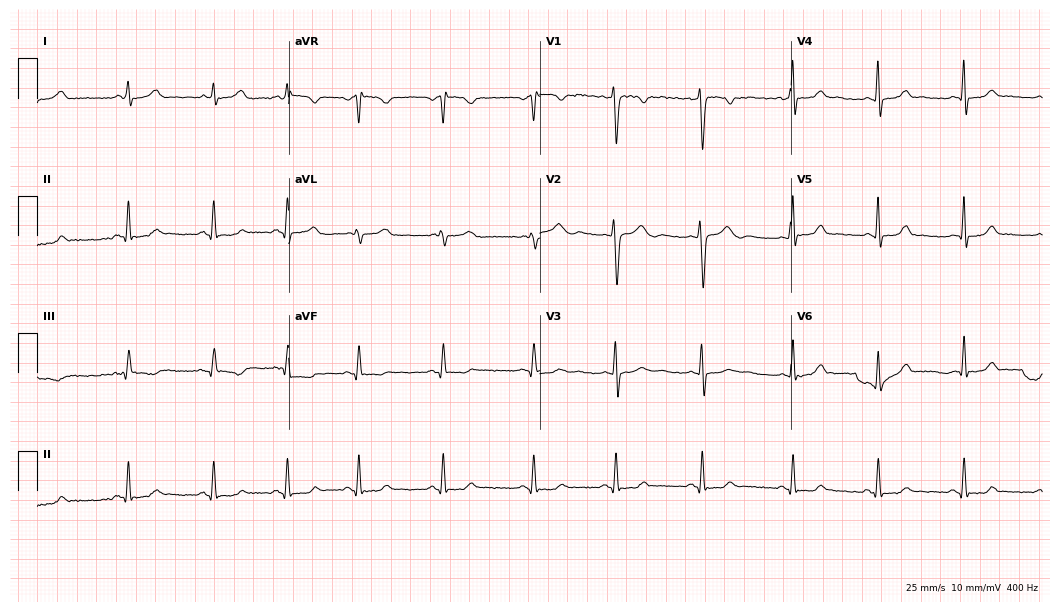
Standard 12-lead ECG recorded from a female, 20 years old (10.2-second recording at 400 Hz). None of these six findings is recorded: first-degree AV block, right bundle branch block (RBBB), left bundle branch block (LBBB), sinus bradycardia, atrial fibrillation (AF), sinus tachycardia. Only these six findings were labelled.